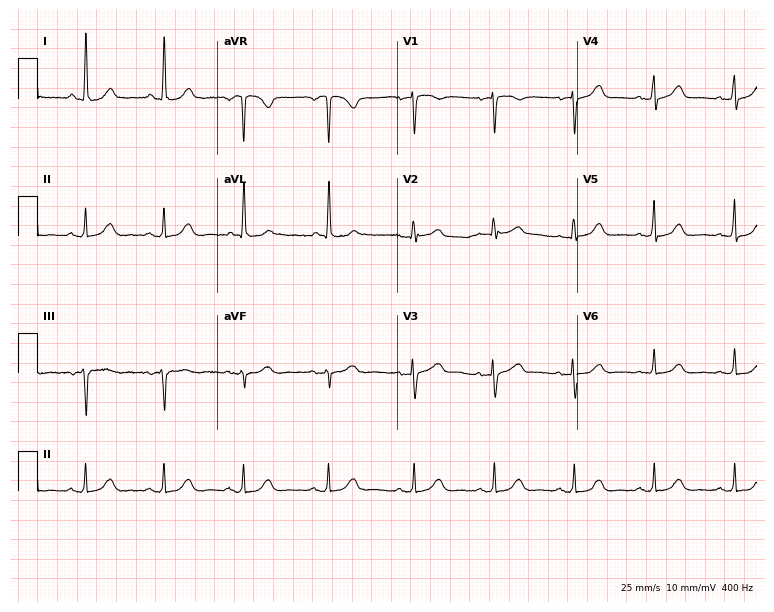
Resting 12-lead electrocardiogram. Patient: a woman, 65 years old. None of these six findings is recorded: first-degree AV block, right bundle branch block (RBBB), left bundle branch block (LBBB), sinus bradycardia, atrial fibrillation (AF), sinus tachycardia. Findings outside these six are not listed.